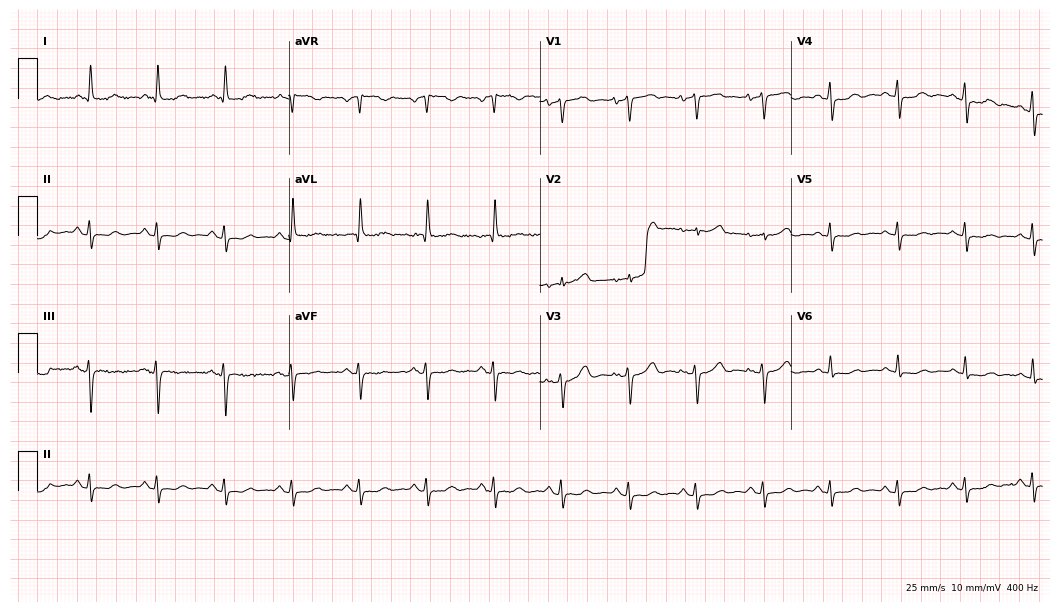
12-lead ECG from a woman, 70 years old. Screened for six findings — first-degree AV block, right bundle branch block, left bundle branch block, sinus bradycardia, atrial fibrillation, sinus tachycardia — none is recorded. Only these six findings were labelled.